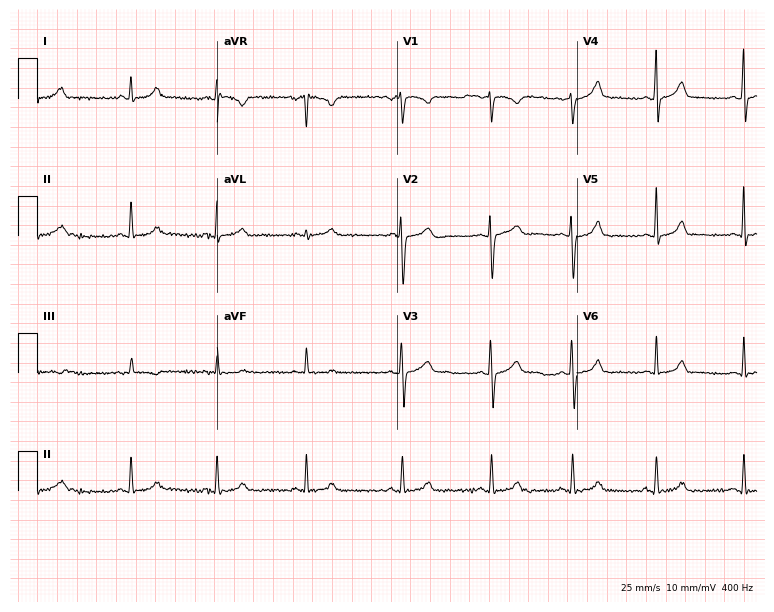
ECG (7.3-second recording at 400 Hz) — a 21-year-old female. Labelled as a normal ECG.